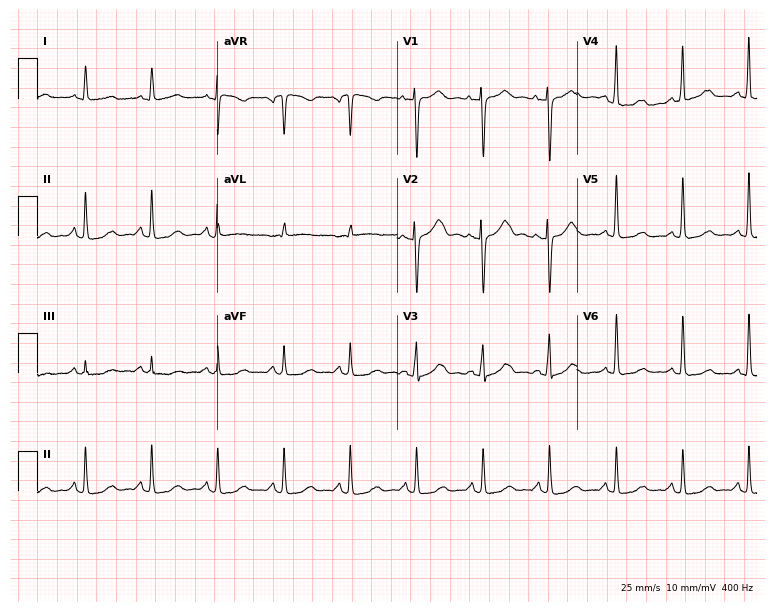
12-lead ECG from an 84-year-old woman (7.3-second recording at 400 Hz). Recorded interpretation: within normal limits.